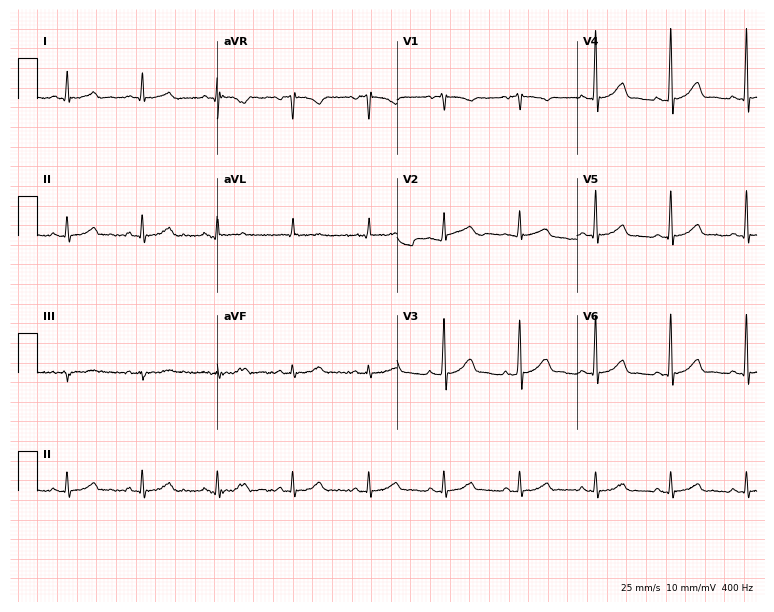
Resting 12-lead electrocardiogram. Patient: a female, 63 years old. Read as a normal ECG.